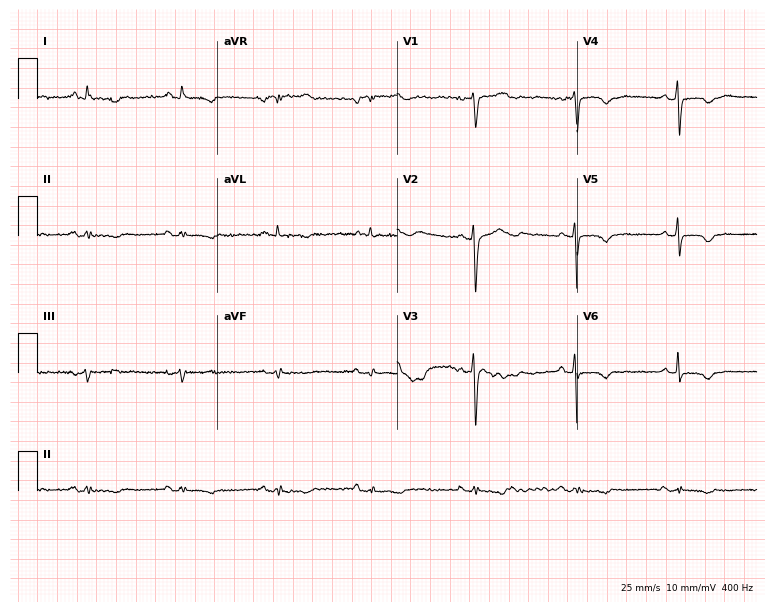
Standard 12-lead ECG recorded from a male, 85 years old (7.3-second recording at 400 Hz). None of these six findings is recorded: first-degree AV block, right bundle branch block, left bundle branch block, sinus bradycardia, atrial fibrillation, sinus tachycardia. Findings outside these six are not listed.